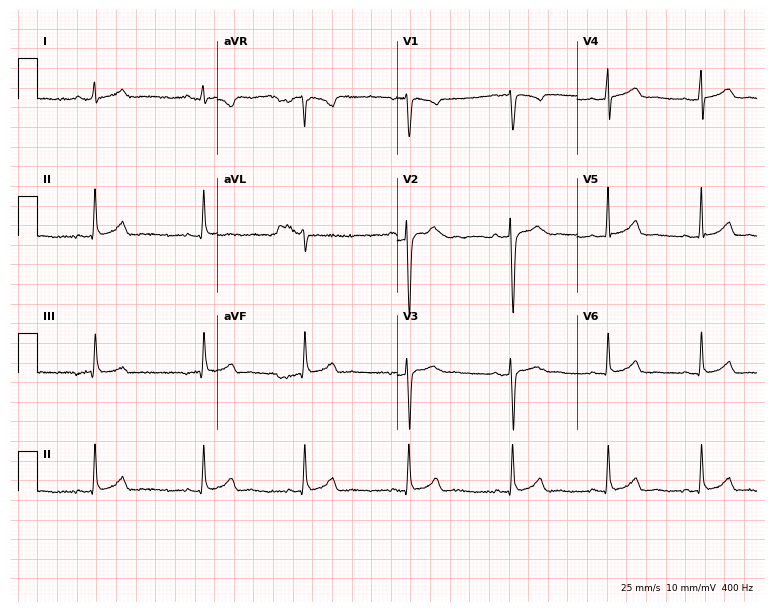
12-lead ECG from a 32-year-old woman (7.3-second recording at 400 Hz). Recorded interpretation: within normal limits.